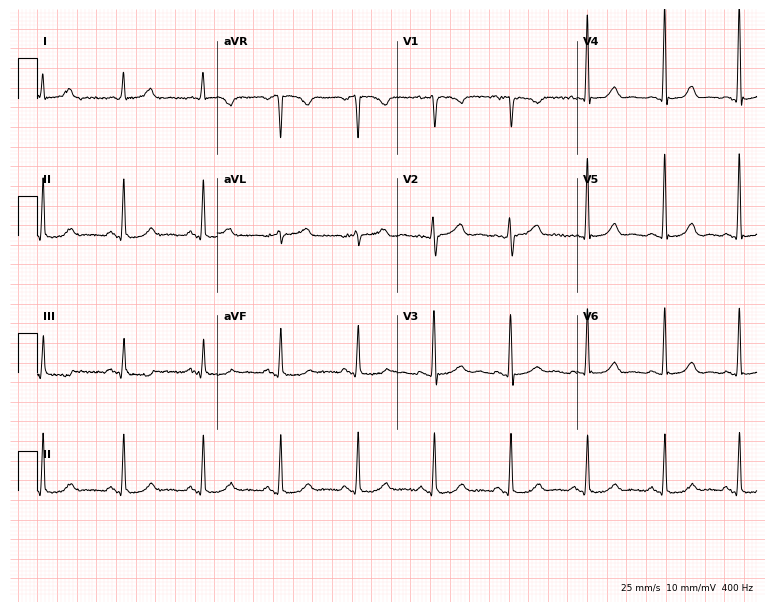
12-lead ECG (7.3-second recording at 400 Hz) from a 55-year-old female. Labelled as a normal ECG.